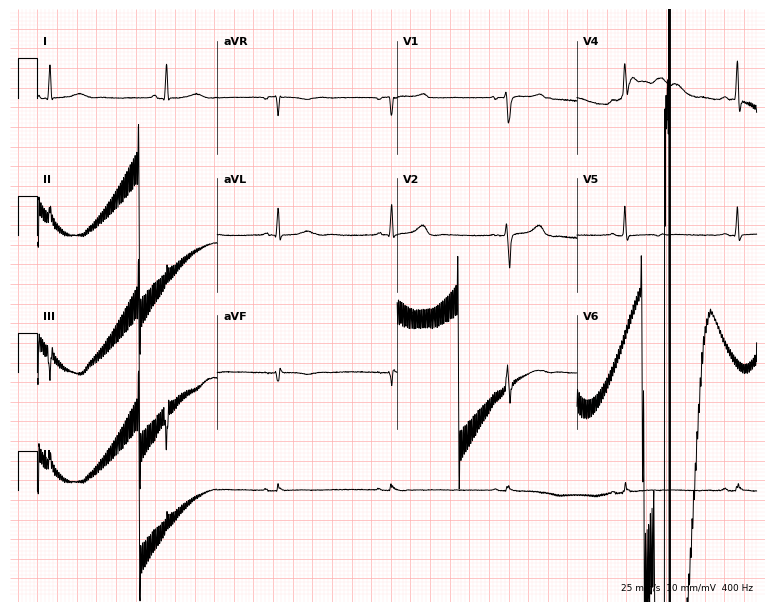
Standard 12-lead ECG recorded from a woman, 74 years old. None of these six findings is recorded: first-degree AV block, right bundle branch block, left bundle branch block, sinus bradycardia, atrial fibrillation, sinus tachycardia.